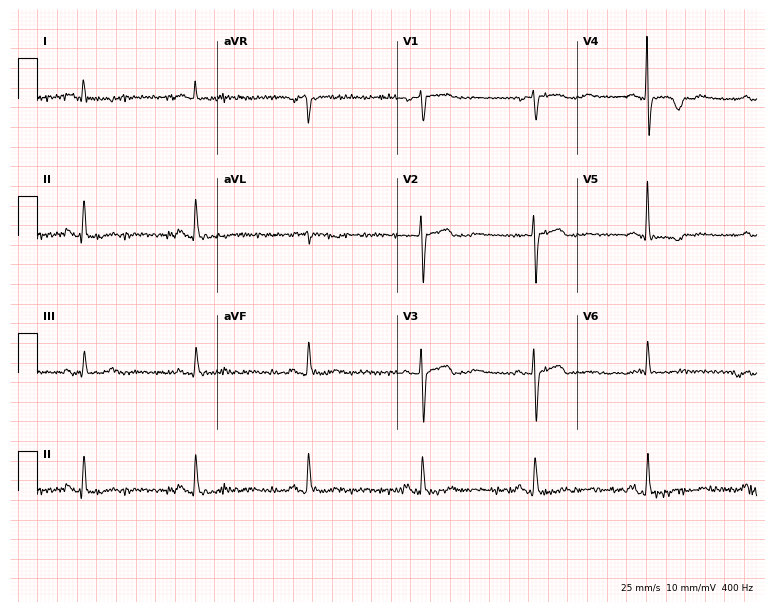
Standard 12-lead ECG recorded from a woman, 80 years old (7.3-second recording at 400 Hz). None of these six findings is recorded: first-degree AV block, right bundle branch block, left bundle branch block, sinus bradycardia, atrial fibrillation, sinus tachycardia.